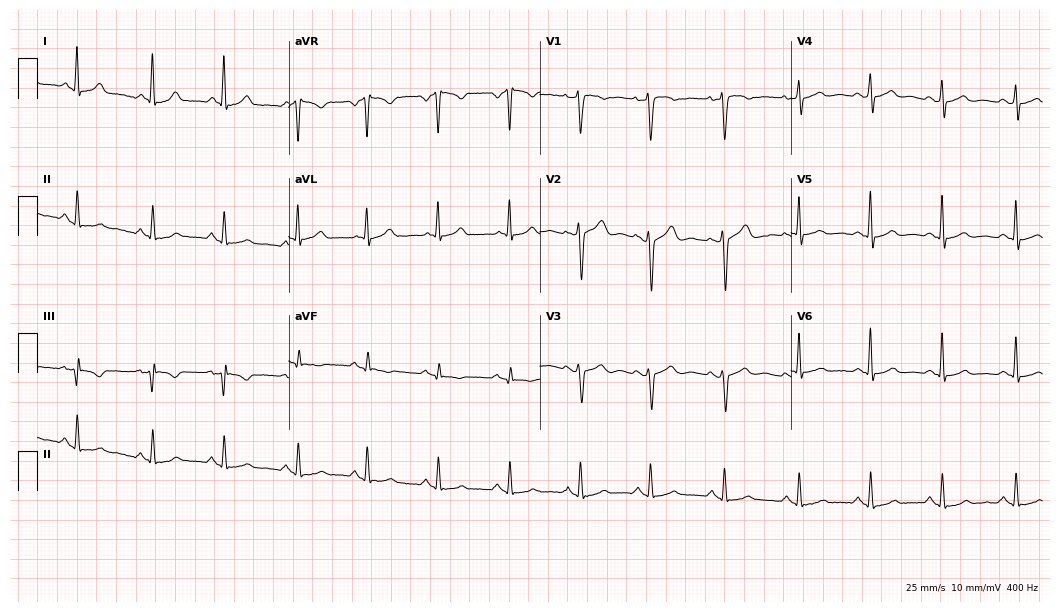
ECG — a female, 50 years old. Screened for six findings — first-degree AV block, right bundle branch block (RBBB), left bundle branch block (LBBB), sinus bradycardia, atrial fibrillation (AF), sinus tachycardia — none is recorded. Findings outside these six are not listed.